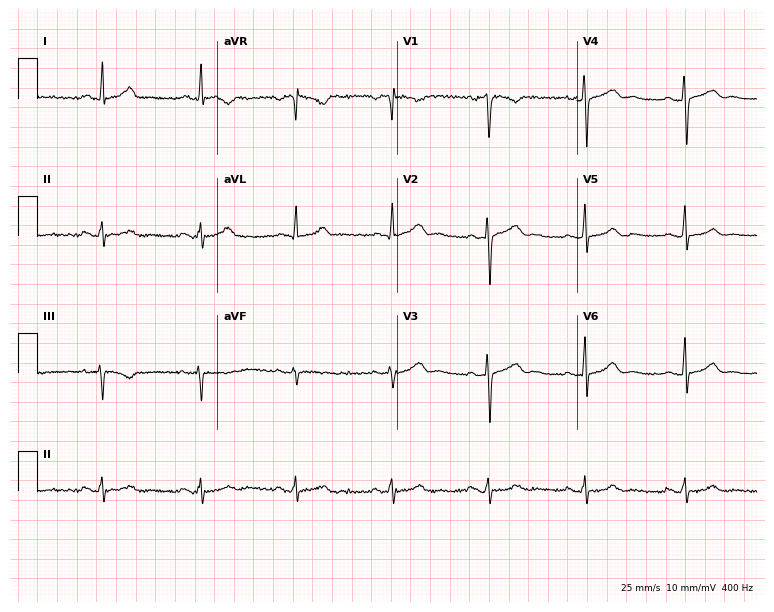
Resting 12-lead electrocardiogram (7.3-second recording at 400 Hz). Patient: a male, 40 years old. Read as a normal ECG.